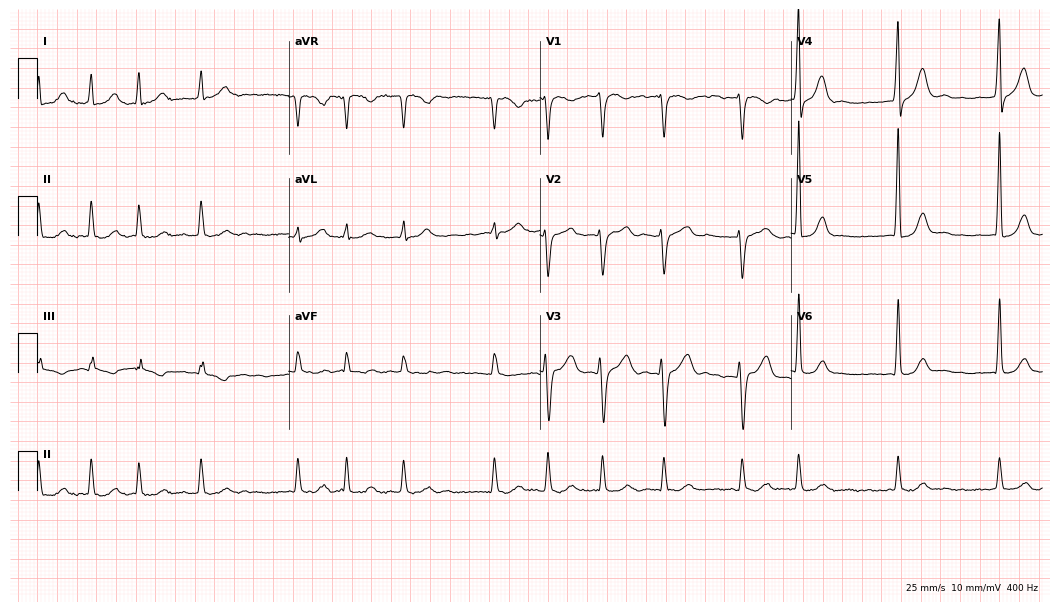
12-lead ECG (10.2-second recording at 400 Hz) from a male patient, 66 years old. Findings include atrial fibrillation.